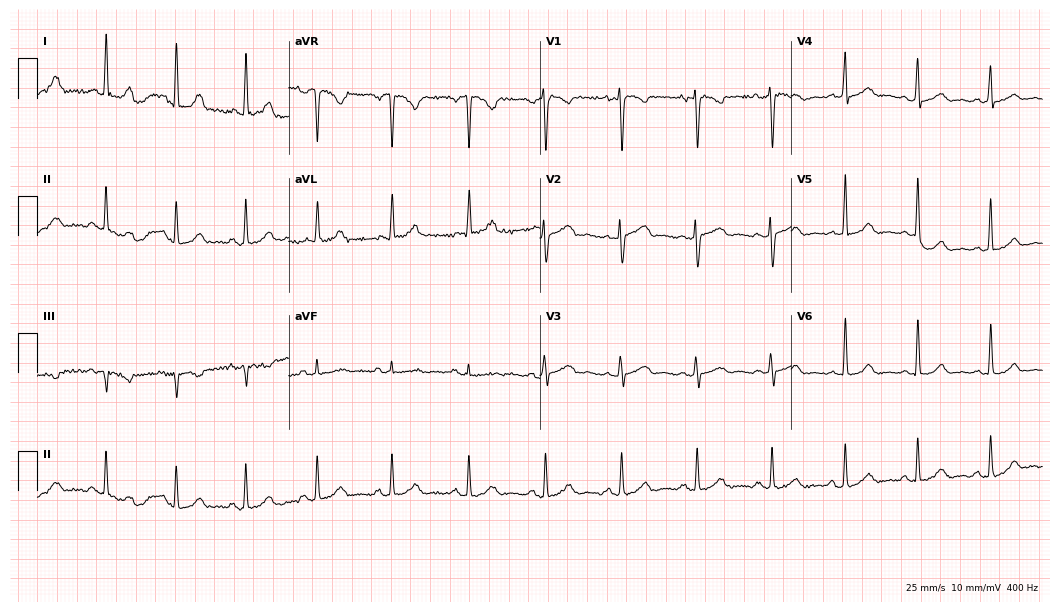
12-lead ECG from a 49-year-old woman. Recorded interpretation: within normal limits.